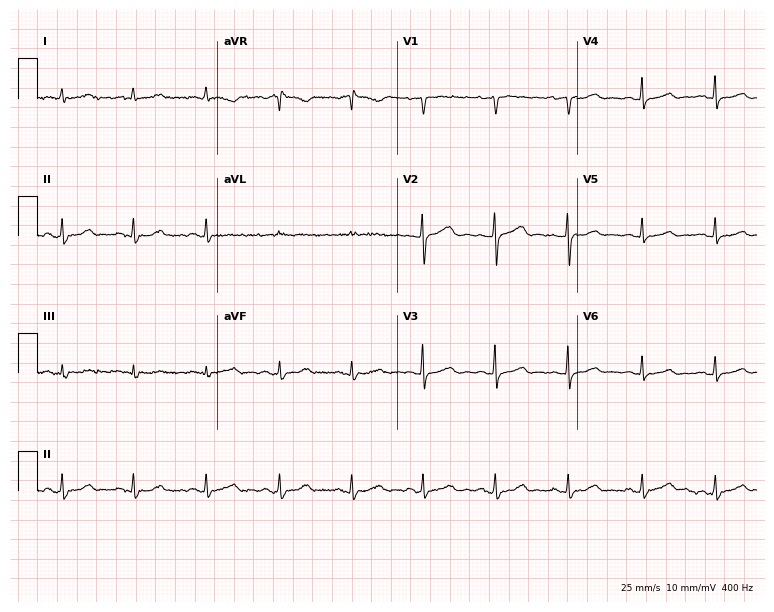
Standard 12-lead ECG recorded from a 54-year-old female patient. None of these six findings is recorded: first-degree AV block, right bundle branch block (RBBB), left bundle branch block (LBBB), sinus bradycardia, atrial fibrillation (AF), sinus tachycardia.